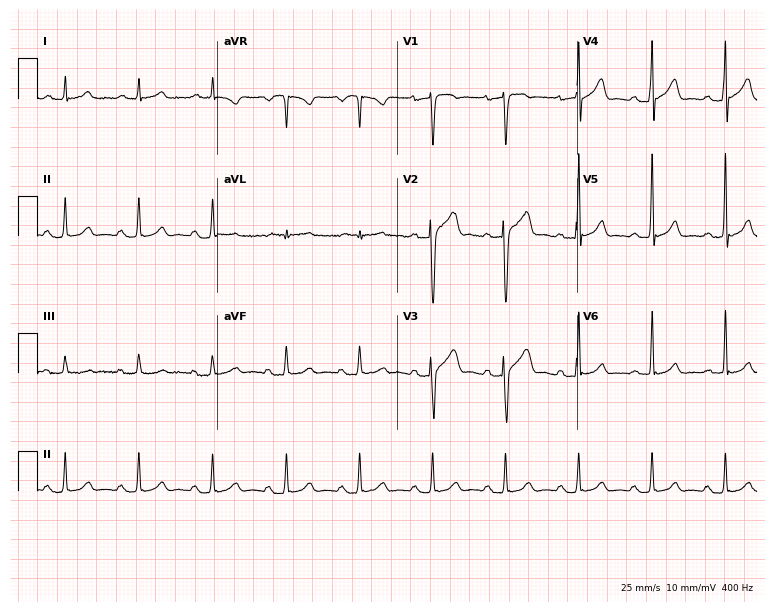
12-lead ECG from a woman, 54 years old (7.3-second recording at 400 Hz). Recorded interpretation: within normal limits.